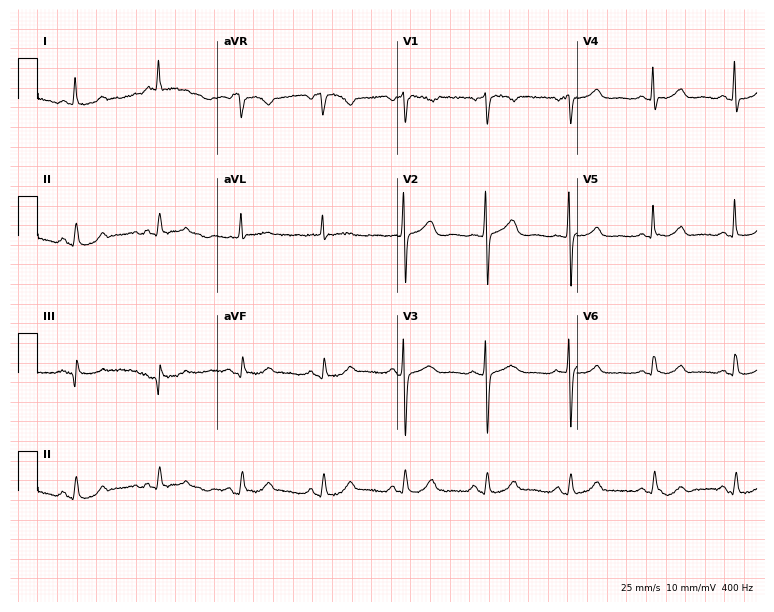
Electrocardiogram, a 67-year-old female patient. Overall reading on record: normal ECG.